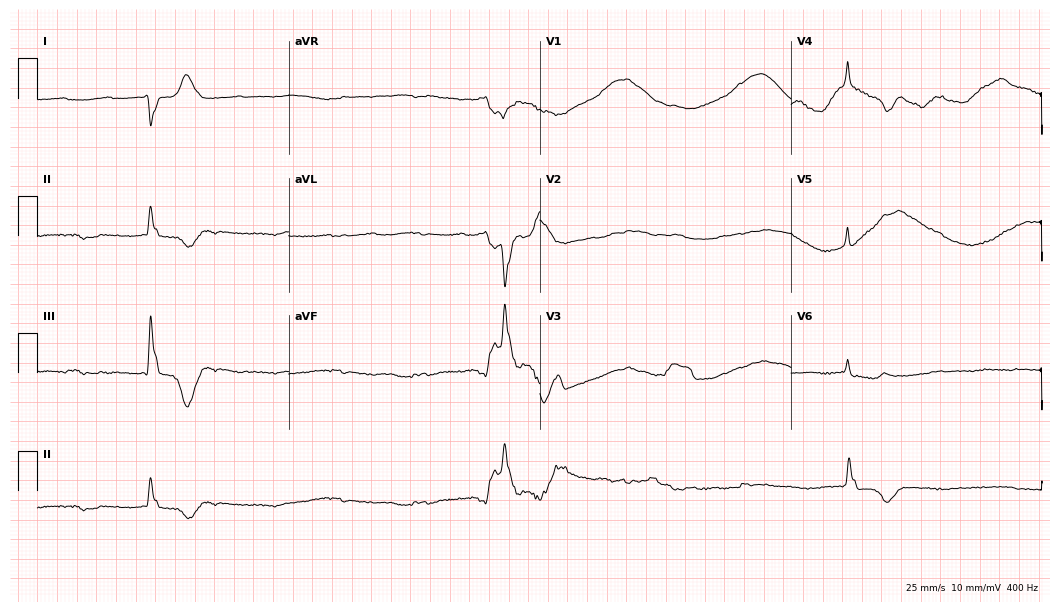
Standard 12-lead ECG recorded from a woman, 74 years old. None of these six findings is recorded: first-degree AV block, right bundle branch block, left bundle branch block, sinus bradycardia, atrial fibrillation, sinus tachycardia.